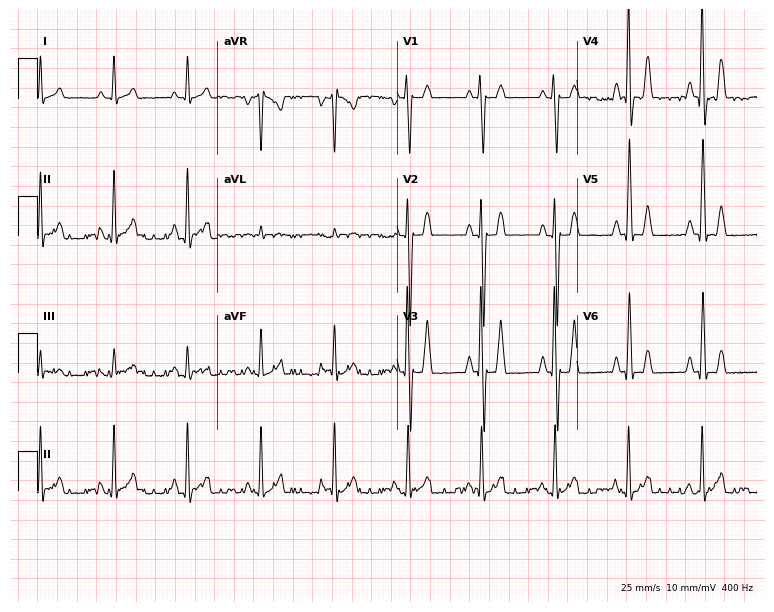
12-lead ECG from a man, 33 years old. No first-degree AV block, right bundle branch block (RBBB), left bundle branch block (LBBB), sinus bradycardia, atrial fibrillation (AF) or sinus tachycardia recorded for this tracing.